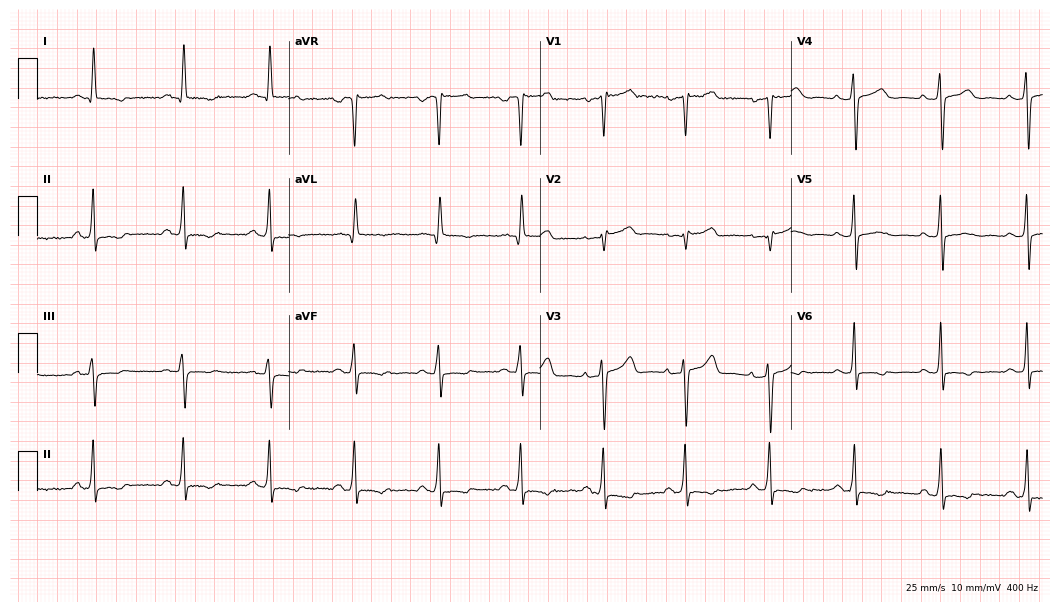
Resting 12-lead electrocardiogram. Patient: a 53-year-old woman. None of these six findings is recorded: first-degree AV block, right bundle branch block, left bundle branch block, sinus bradycardia, atrial fibrillation, sinus tachycardia.